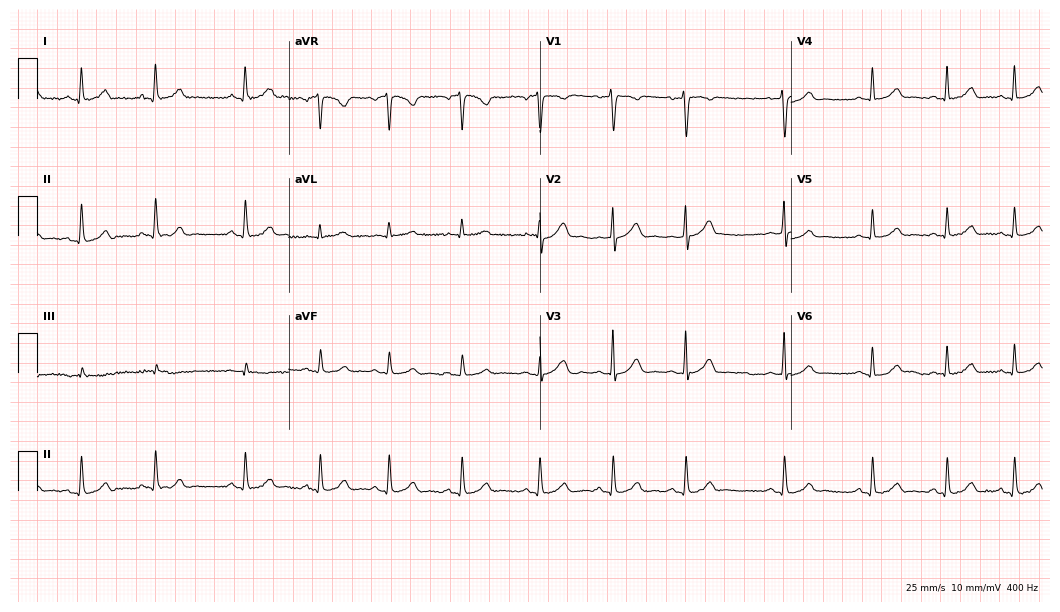
Electrocardiogram (10.2-second recording at 400 Hz), a female patient, 24 years old. Of the six screened findings (first-degree AV block, right bundle branch block, left bundle branch block, sinus bradycardia, atrial fibrillation, sinus tachycardia), none is recorded.